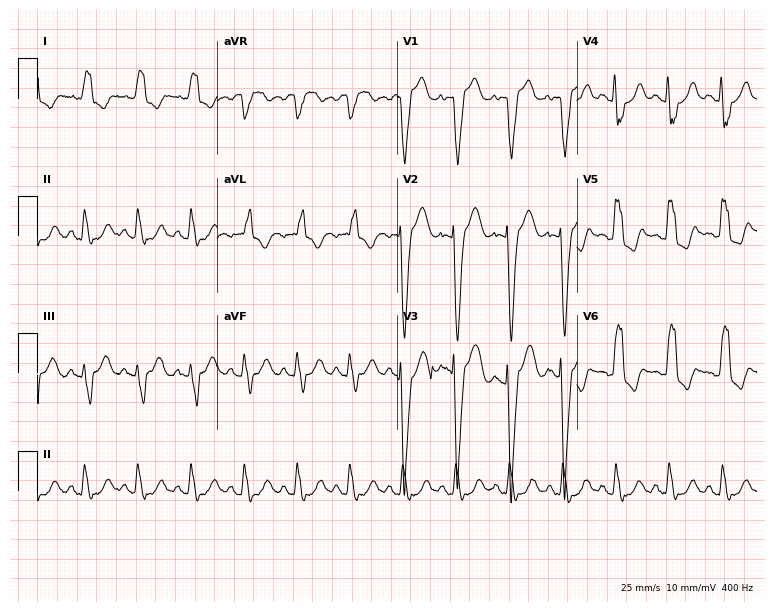
ECG (7.3-second recording at 400 Hz) — a female patient, 84 years old. Findings include left bundle branch block, sinus tachycardia (a sinus rate of 100 beats per minute or more).